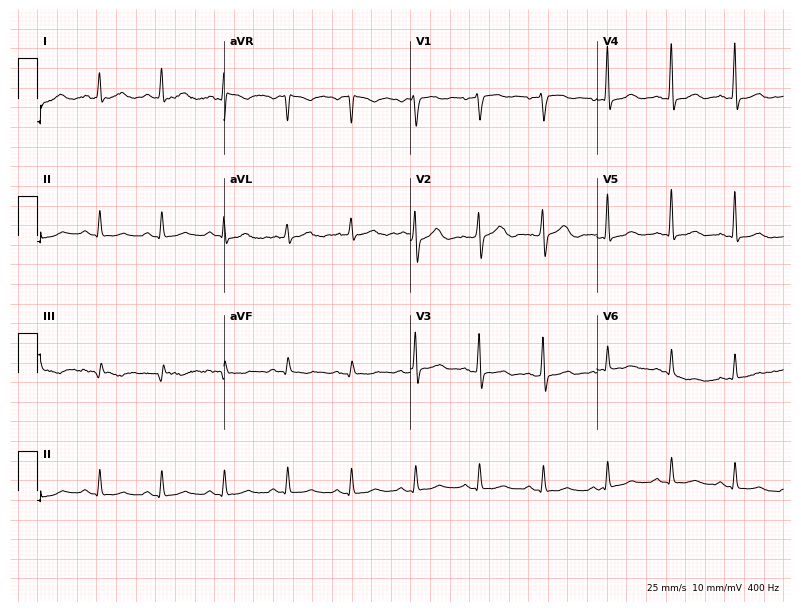
12-lead ECG from a 55-year-old man (7.6-second recording at 400 Hz). Recorded interpretation: within normal limits.